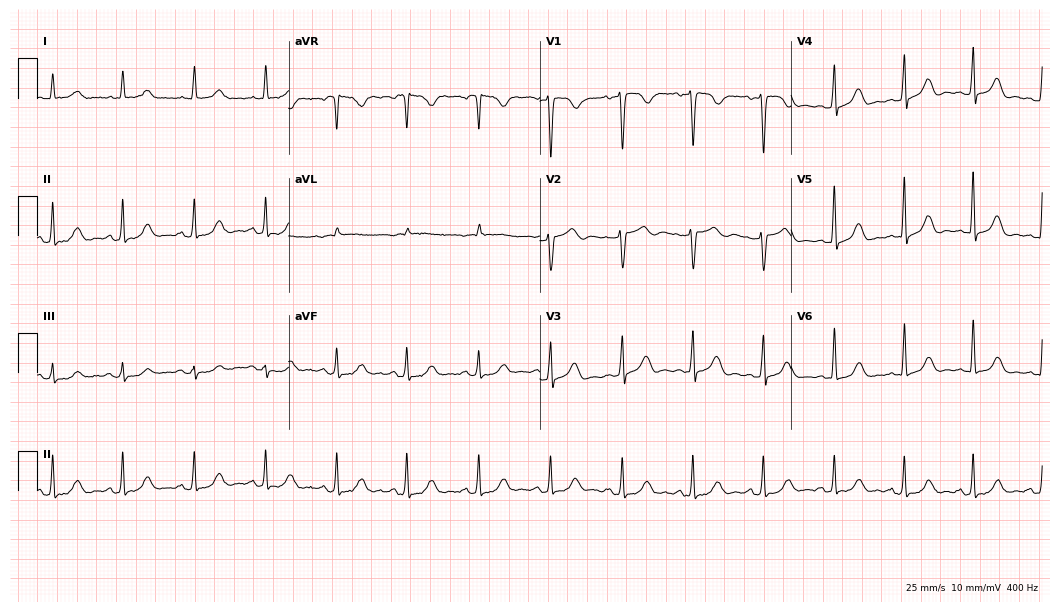
Standard 12-lead ECG recorded from a 68-year-old woman. Read as a normal ECG.